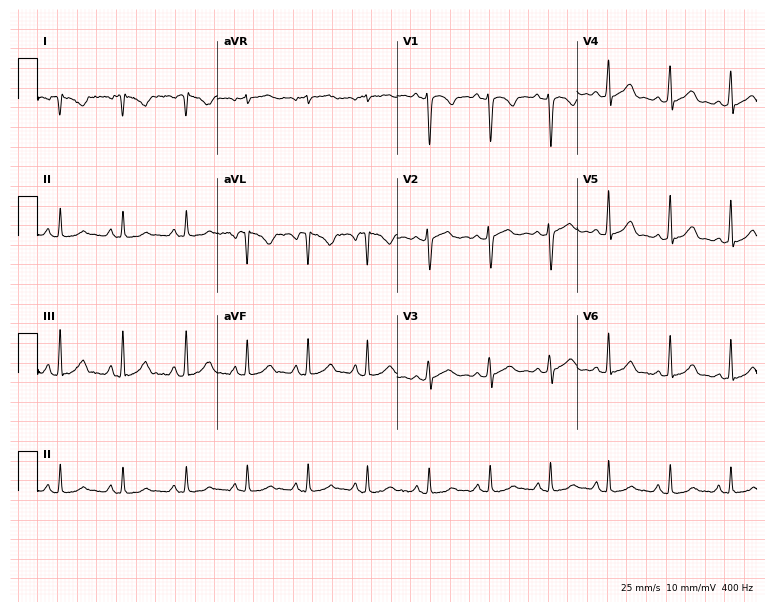
12-lead ECG from a 22-year-old female (7.3-second recording at 400 Hz). No first-degree AV block, right bundle branch block, left bundle branch block, sinus bradycardia, atrial fibrillation or sinus tachycardia recorded for this tracing. Other findings, if any, are not listed.